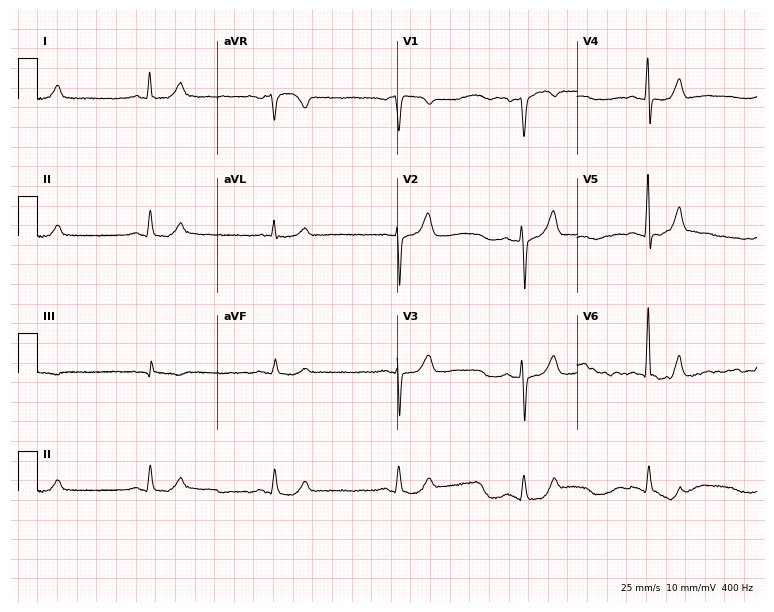
12-lead ECG from a male patient, 65 years old (7.3-second recording at 400 Hz). Shows sinus bradycardia (a sinus rate of 50 beats per minute or less).